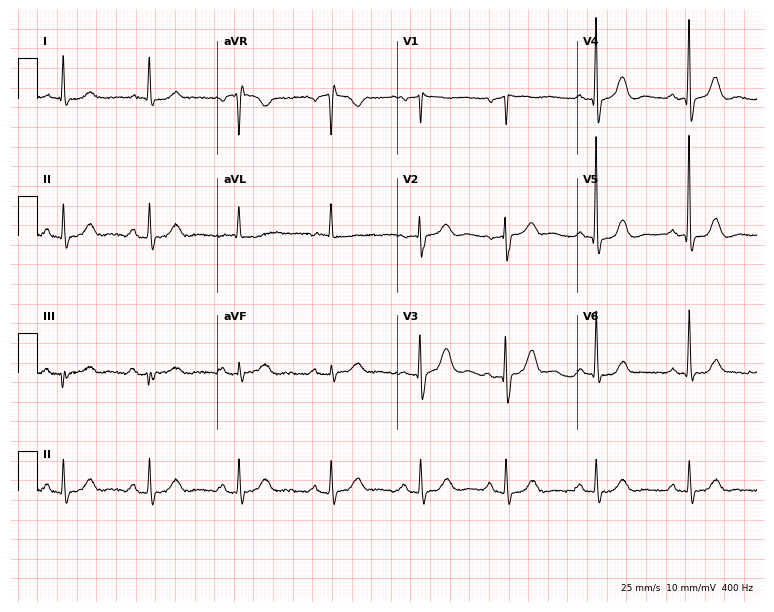
Standard 12-lead ECG recorded from a woman, 76 years old (7.3-second recording at 400 Hz). None of these six findings is recorded: first-degree AV block, right bundle branch block, left bundle branch block, sinus bradycardia, atrial fibrillation, sinus tachycardia. Findings outside these six are not listed.